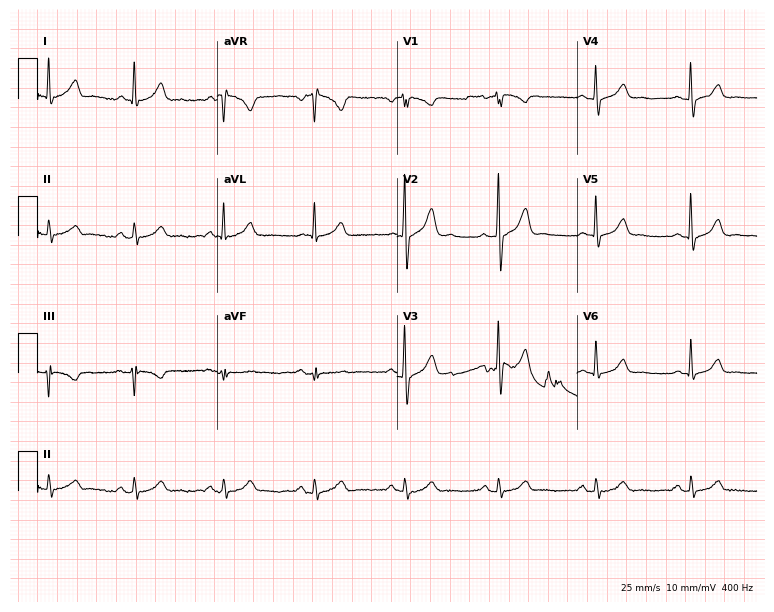
12-lead ECG (7.3-second recording at 400 Hz) from a 58-year-old male patient. Labelled as a normal ECG.